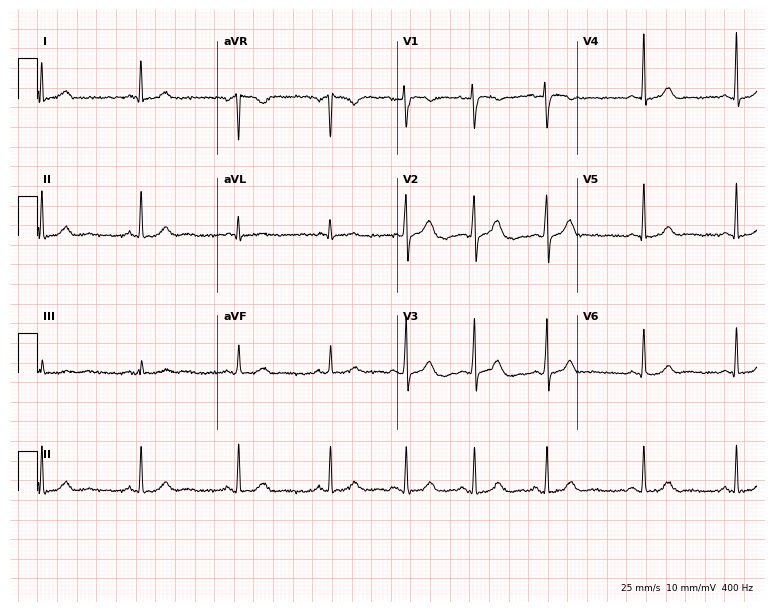
12-lead ECG (7.3-second recording at 400 Hz) from a 37-year-old female. Screened for six findings — first-degree AV block, right bundle branch block, left bundle branch block, sinus bradycardia, atrial fibrillation, sinus tachycardia — none is recorded. Only these six findings were labelled.